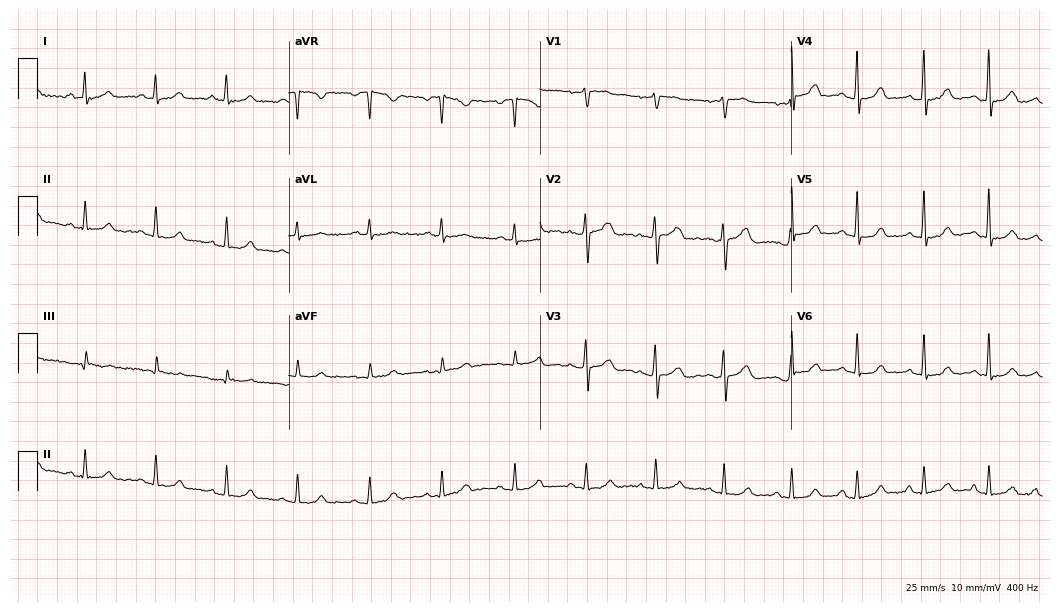
Electrocardiogram, a woman, 57 years old. Overall reading on record: normal ECG.